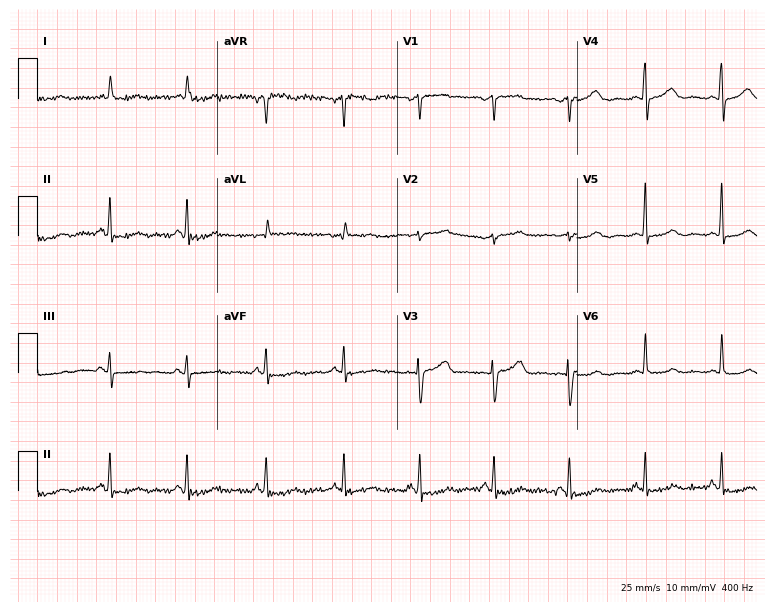
Standard 12-lead ECG recorded from a female patient, 51 years old. None of these six findings is recorded: first-degree AV block, right bundle branch block (RBBB), left bundle branch block (LBBB), sinus bradycardia, atrial fibrillation (AF), sinus tachycardia.